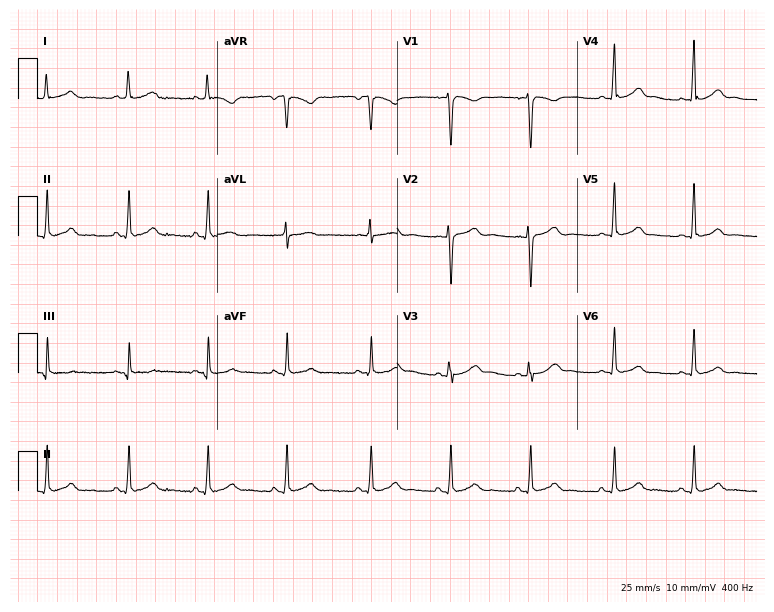
12-lead ECG (7.3-second recording at 400 Hz) from a woman, 26 years old. Screened for six findings — first-degree AV block, right bundle branch block, left bundle branch block, sinus bradycardia, atrial fibrillation, sinus tachycardia — none is recorded.